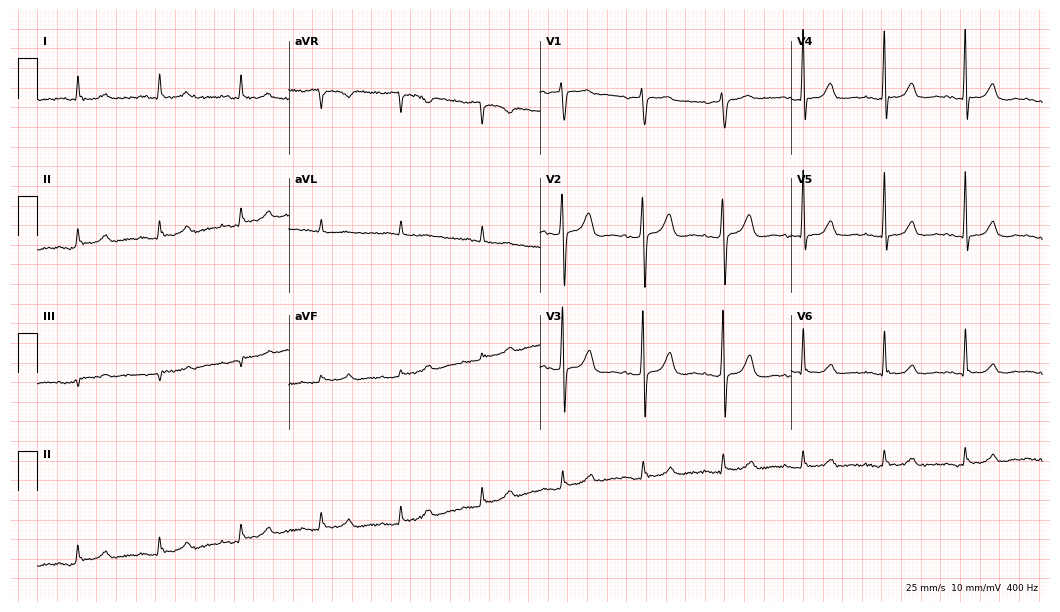
Resting 12-lead electrocardiogram. Patient: a female, 73 years old. None of these six findings is recorded: first-degree AV block, right bundle branch block, left bundle branch block, sinus bradycardia, atrial fibrillation, sinus tachycardia. Other findings, if any, are not listed.